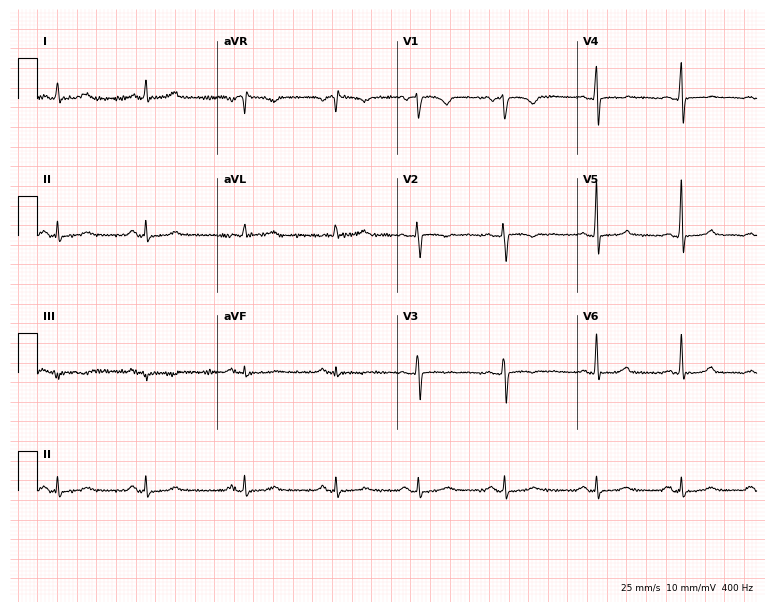
Standard 12-lead ECG recorded from a female, 47 years old. Read as a normal ECG.